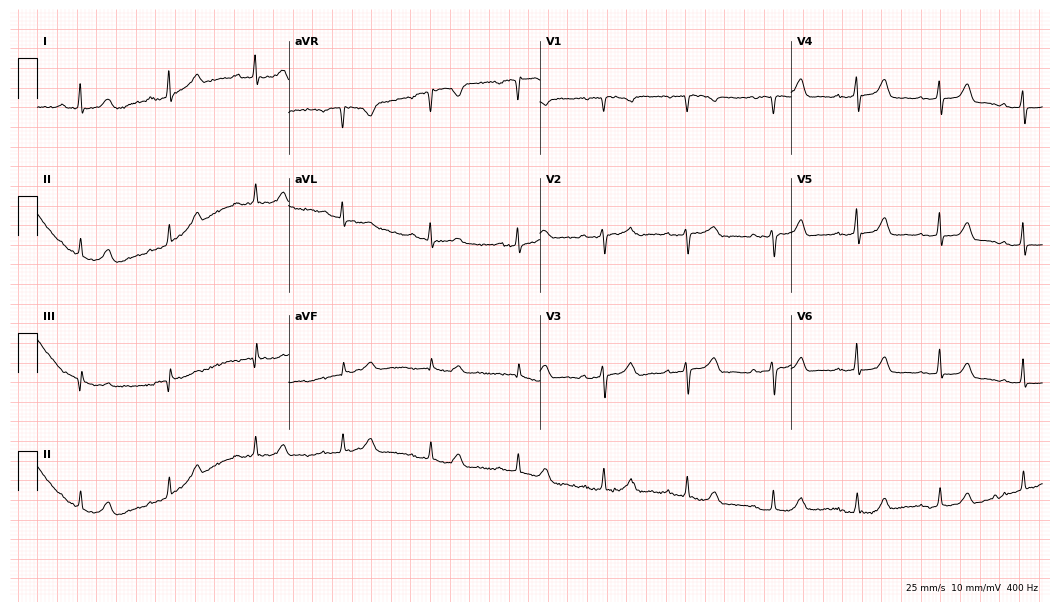
ECG — a 68-year-old female patient. Labelled as a normal ECG.